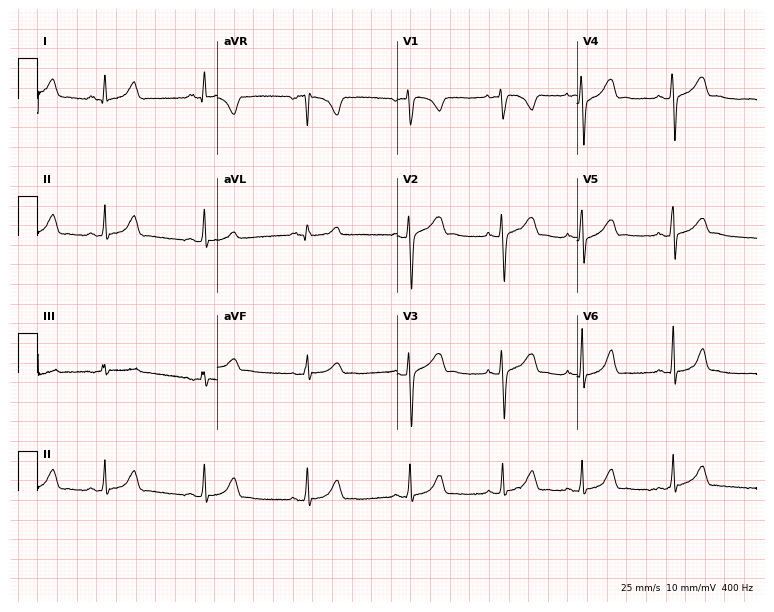
12-lead ECG from an 18-year-old woman. Recorded interpretation: within normal limits.